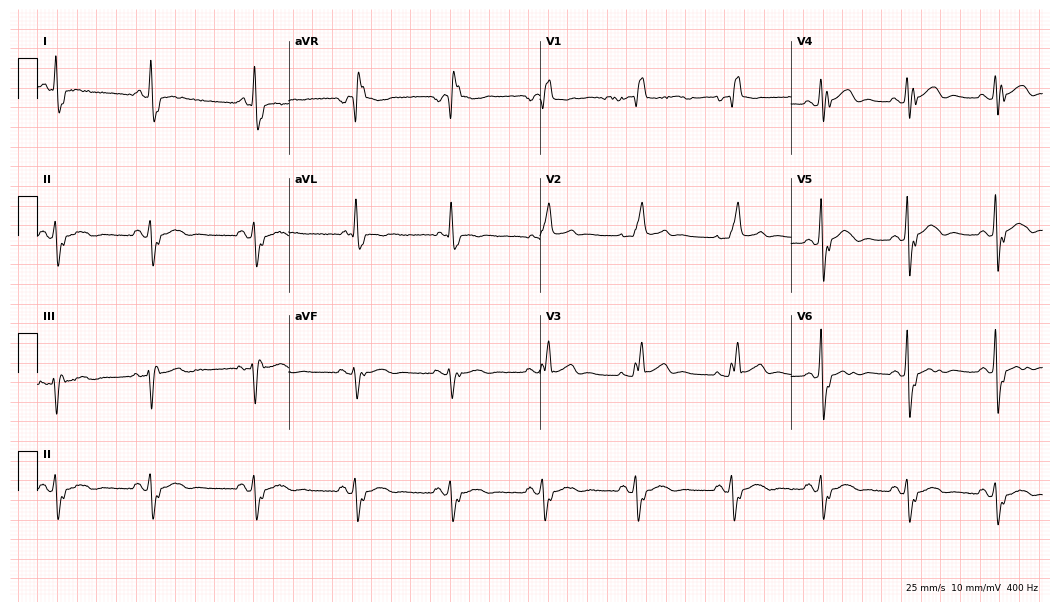
12-lead ECG (10.2-second recording at 400 Hz) from a female, 59 years old. Findings include right bundle branch block.